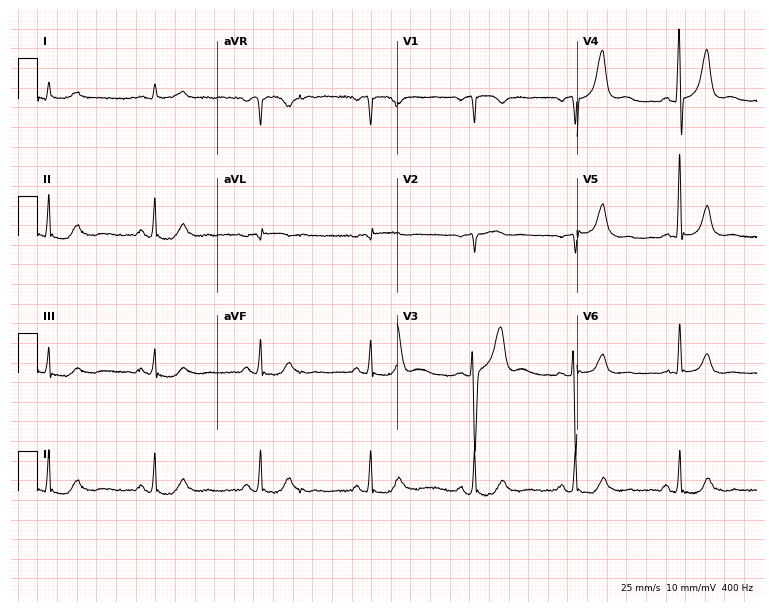
12-lead ECG from a 79-year-old man. Screened for six findings — first-degree AV block, right bundle branch block, left bundle branch block, sinus bradycardia, atrial fibrillation, sinus tachycardia — none is recorded. Other findings, if any, are not listed.